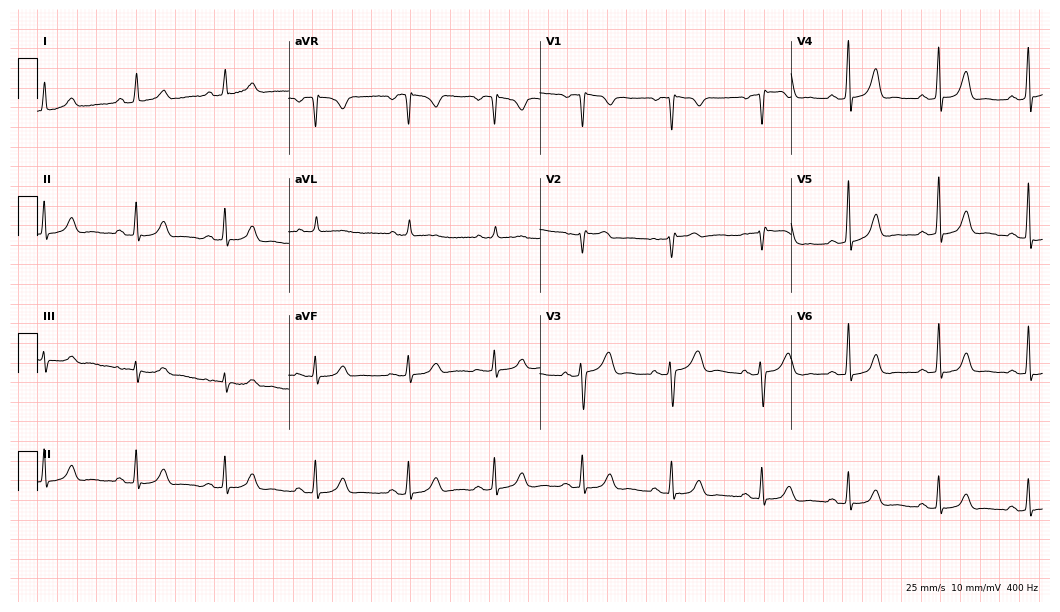
Standard 12-lead ECG recorded from a 44-year-old female. Read as a normal ECG.